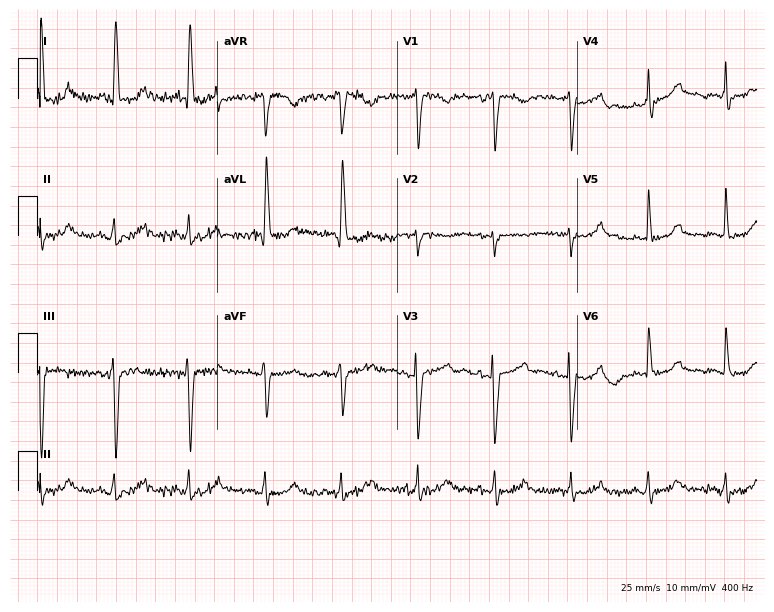
Standard 12-lead ECG recorded from a 65-year-old woman (7.3-second recording at 400 Hz). None of these six findings is recorded: first-degree AV block, right bundle branch block (RBBB), left bundle branch block (LBBB), sinus bradycardia, atrial fibrillation (AF), sinus tachycardia.